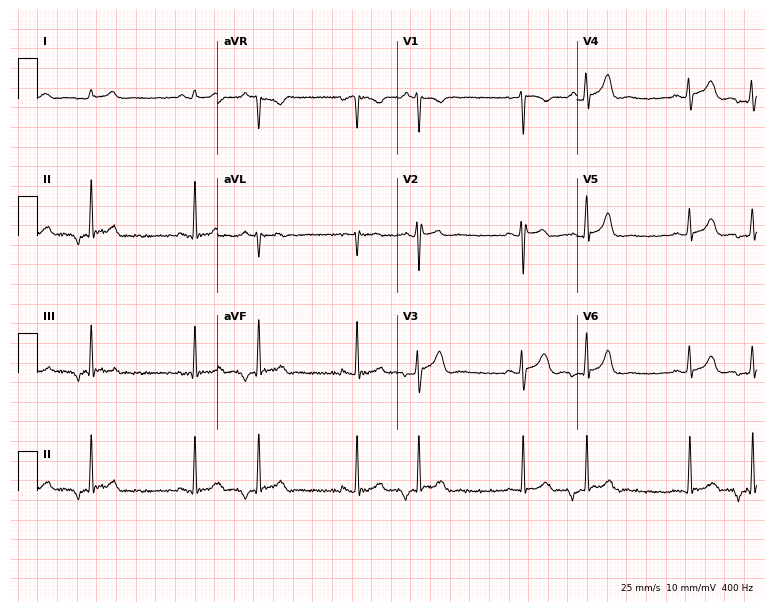
ECG — a 27-year-old man. Screened for six findings — first-degree AV block, right bundle branch block, left bundle branch block, sinus bradycardia, atrial fibrillation, sinus tachycardia — none is recorded. Only these six findings were labelled.